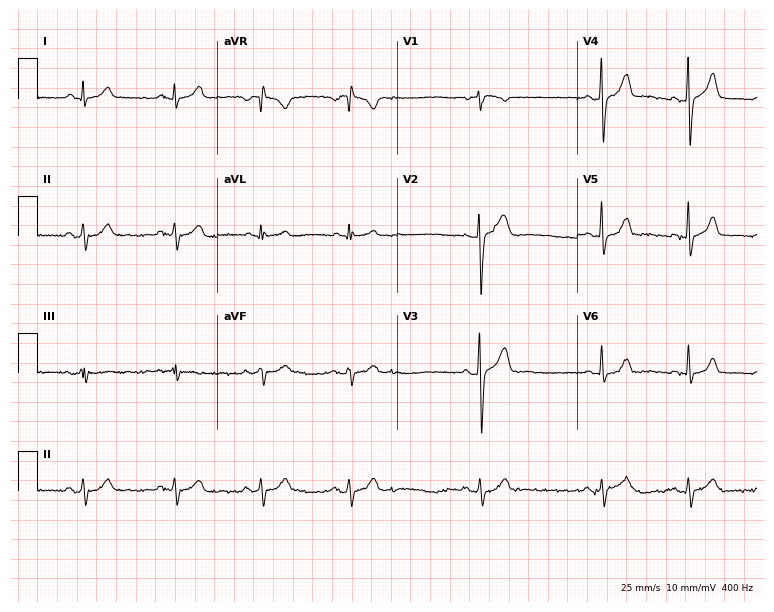
12-lead ECG from a man, 38 years old. No first-degree AV block, right bundle branch block (RBBB), left bundle branch block (LBBB), sinus bradycardia, atrial fibrillation (AF) or sinus tachycardia recorded for this tracing. Other findings, if any, are not listed.